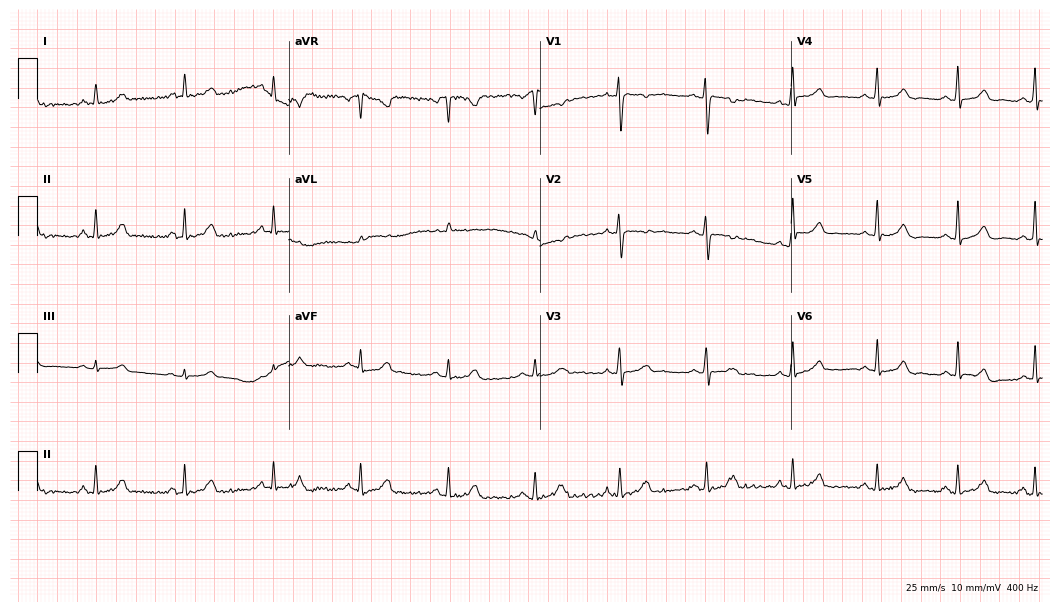
ECG — a female, 49 years old. Labelled as a normal ECG.